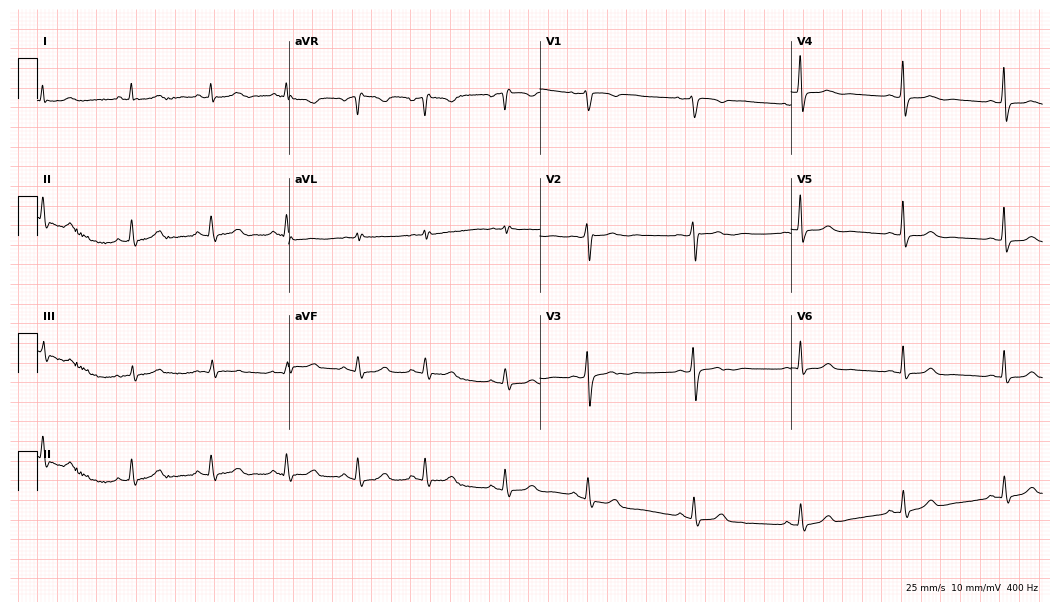
12-lead ECG from a female patient, 32 years old. No first-degree AV block, right bundle branch block (RBBB), left bundle branch block (LBBB), sinus bradycardia, atrial fibrillation (AF) or sinus tachycardia recorded for this tracing.